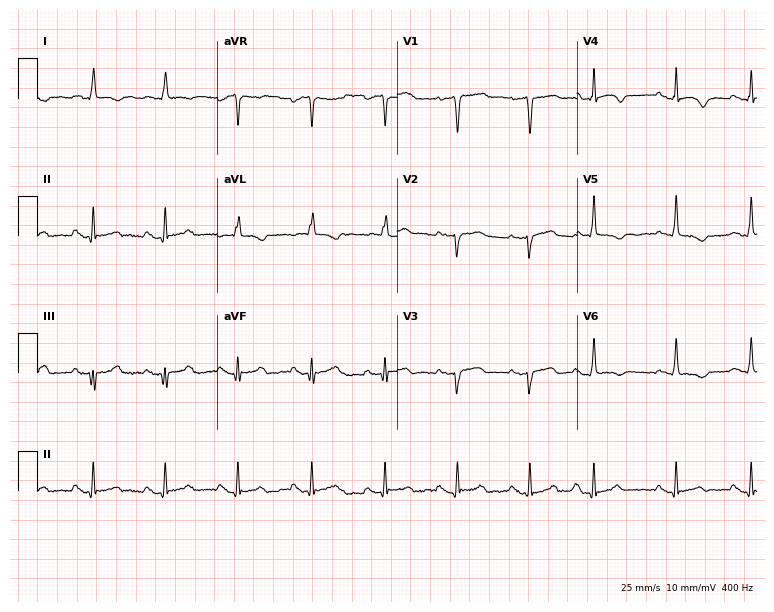
Standard 12-lead ECG recorded from a female patient, 77 years old (7.3-second recording at 400 Hz). None of these six findings is recorded: first-degree AV block, right bundle branch block (RBBB), left bundle branch block (LBBB), sinus bradycardia, atrial fibrillation (AF), sinus tachycardia.